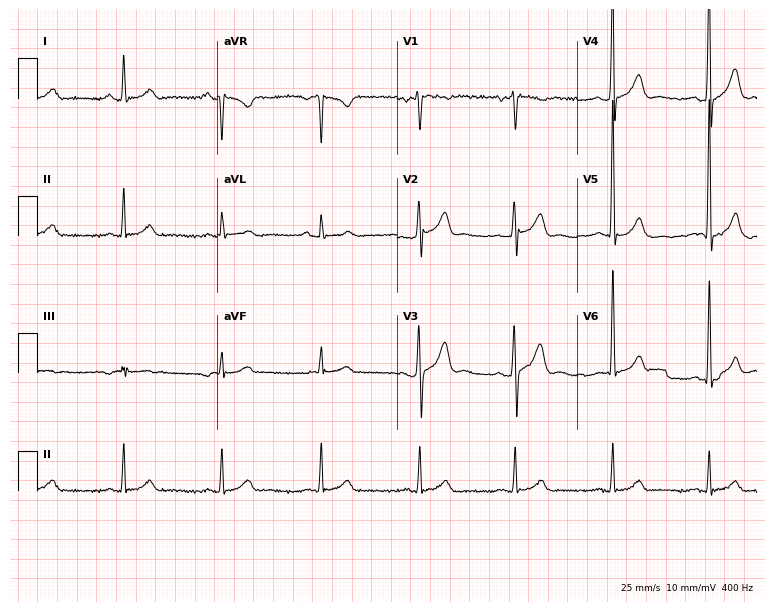
Standard 12-lead ECG recorded from a male patient, 35 years old. None of these six findings is recorded: first-degree AV block, right bundle branch block, left bundle branch block, sinus bradycardia, atrial fibrillation, sinus tachycardia. Only these six findings were labelled.